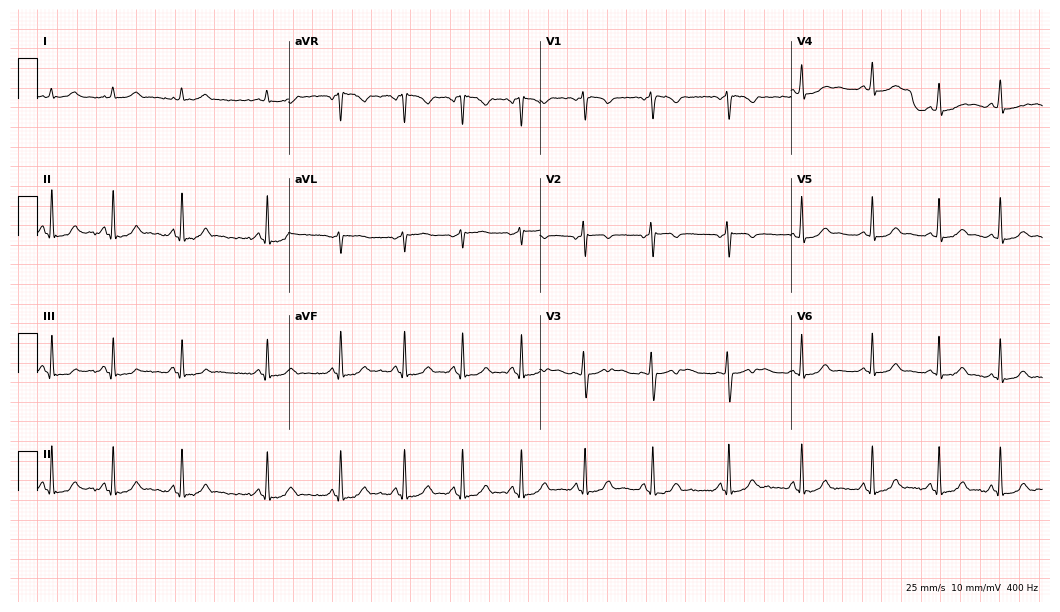
Standard 12-lead ECG recorded from a 25-year-old woman (10.2-second recording at 400 Hz). None of these six findings is recorded: first-degree AV block, right bundle branch block, left bundle branch block, sinus bradycardia, atrial fibrillation, sinus tachycardia. Only these six findings were labelled.